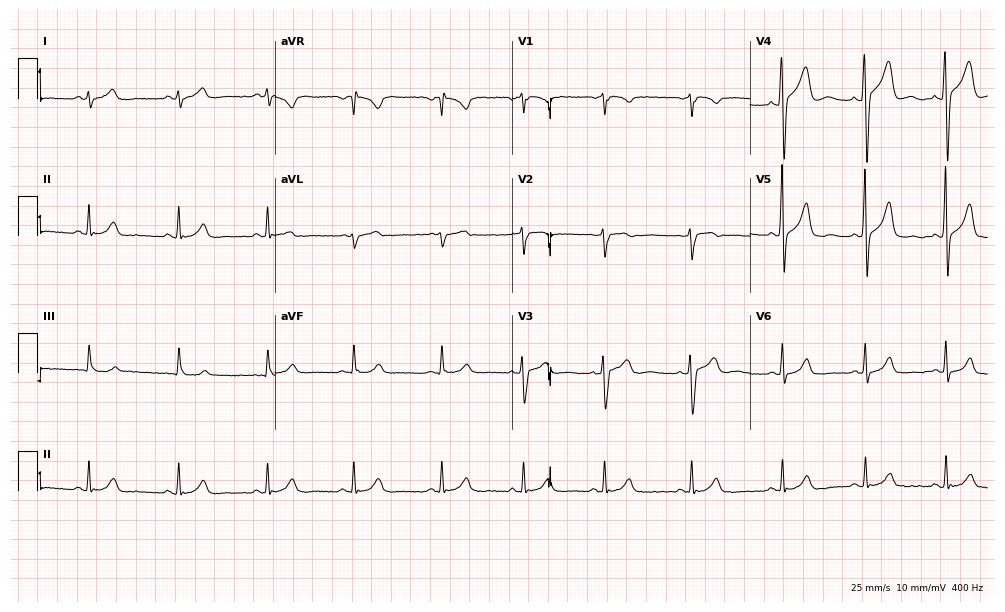
12-lead ECG from a 47-year-old man (9.7-second recording at 400 Hz). No first-degree AV block, right bundle branch block, left bundle branch block, sinus bradycardia, atrial fibrillation or sinus tachycardia recorded for this tracing. Findings outside these six are not listed.